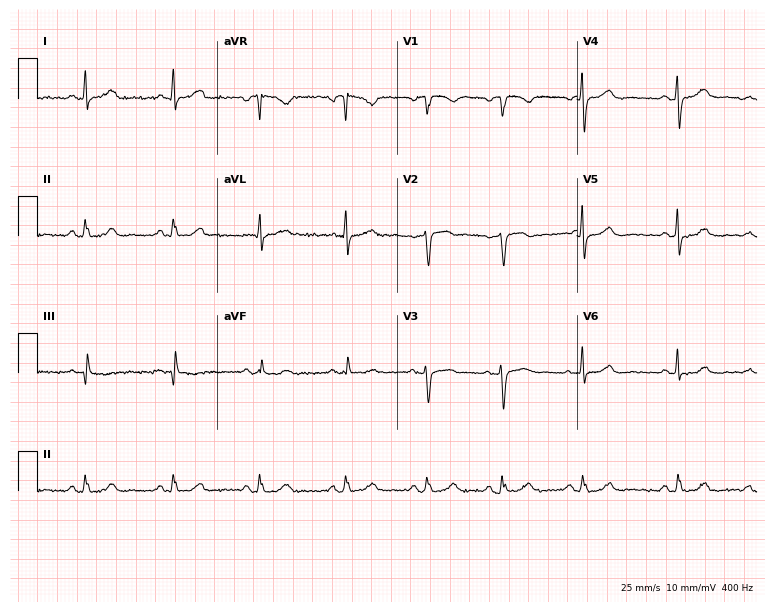
12-lead ECG from a female patient, 49 years old. Labelled as a normal ECG.